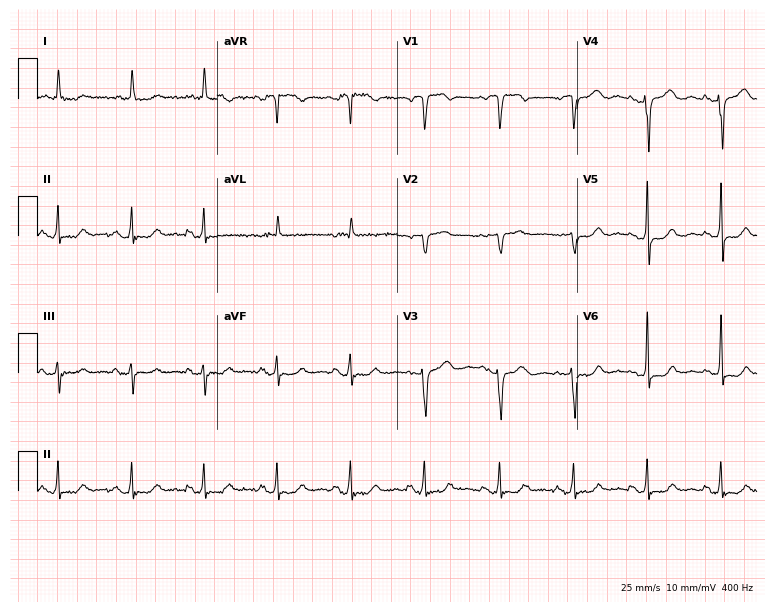
12-lead ECG from a woman, 80 years old. Screened for six findings — first-degree AV block, right bundle branch block, left bundle branch block, sinus bradycardia, atrial fibrillation, sinus tachycardia — none is recorded.